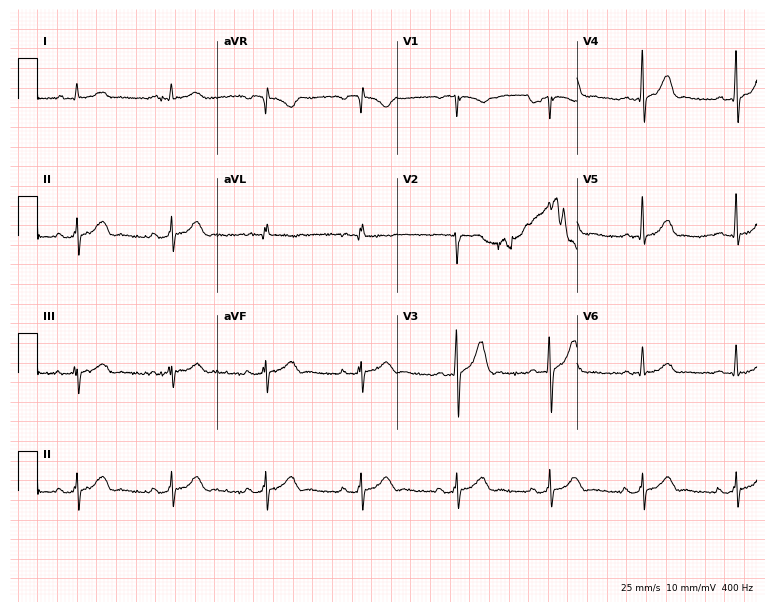
Resting 12-lead electrocardiogram (7.3-second recording at 400 Hz). Patient: a male, 33 years old. None of these six findings is recorded: first-degree AV block, right bundle branch block, left bundle branch block, sinus bradycardia, atrial fibrillation, sinus tachycardia. Only these six findings were labelled.